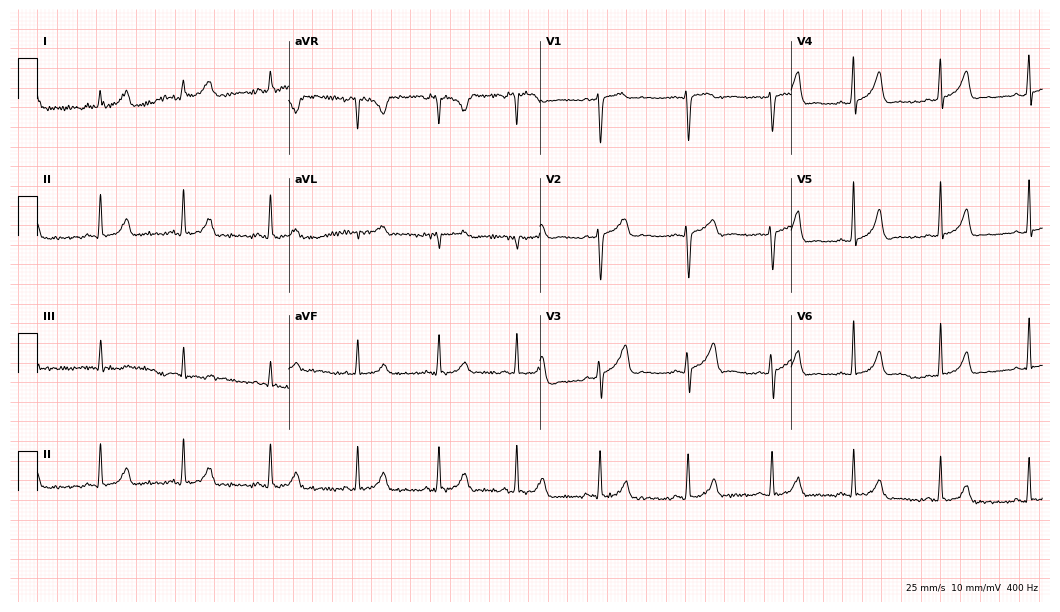
12-lead ECG from a 17-year-old woman. Recorded interpretation: within normal limits.